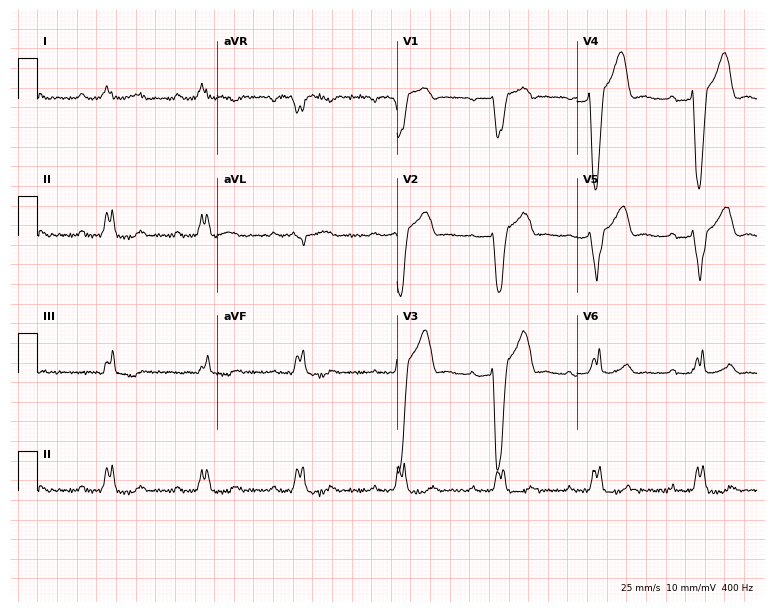
ECG (7.3-second recording at 400 Hz) — a male, 73 years old. Findings include left bundle branch block.